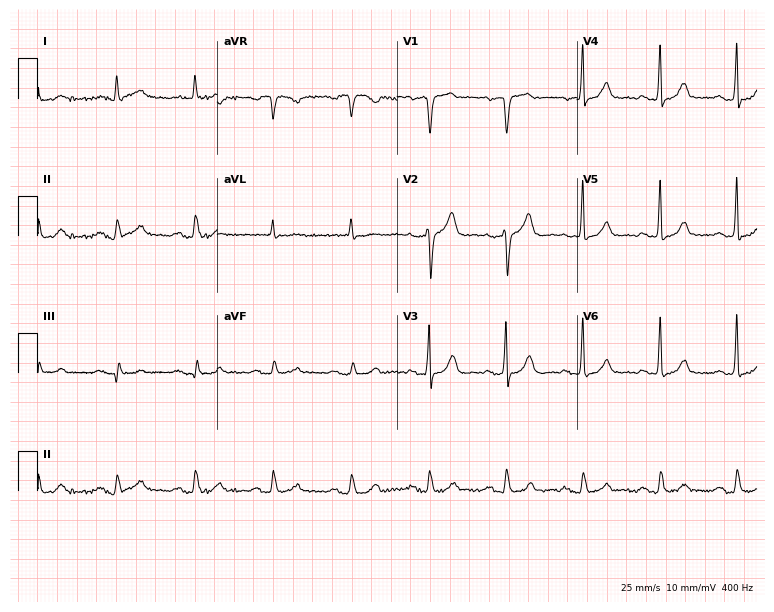
ECG — a male patient, 74 years old. Screened for six findings — first-degree AV block, right bundle branch block, left bundle branch block, sinus bradycardia, atrial fibrillation, sinus tachycardia — none is recorded.